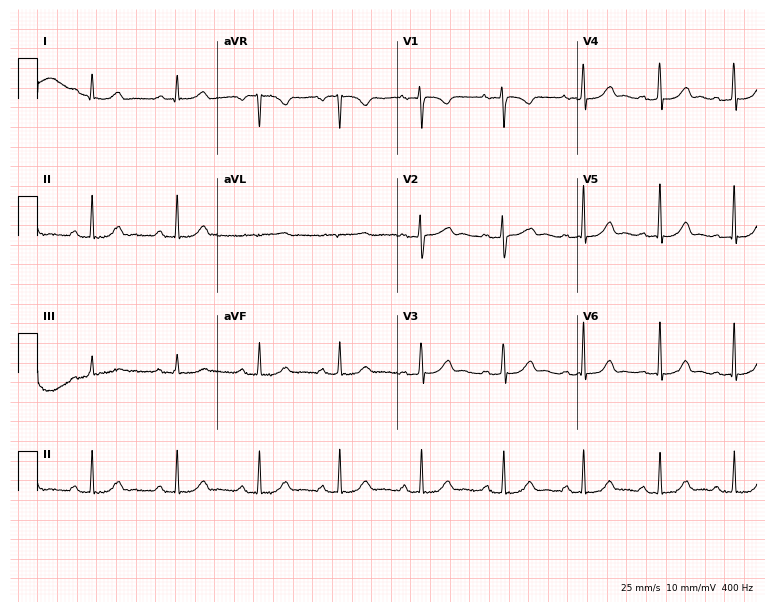
Resting 12-lead electrocardiogram. Patient: a 40-year-old female. Read as a normal ECG.